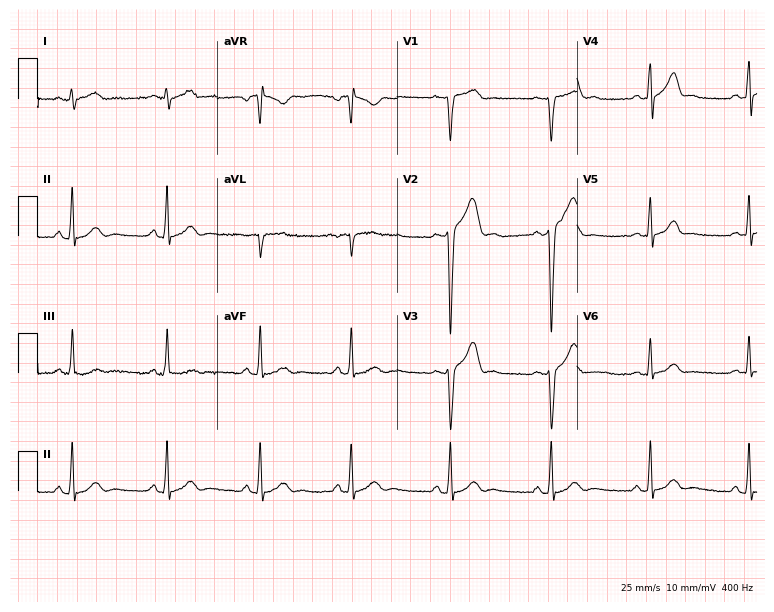
12-lead ECG from a 23-year-old man (7.3-second recording at 400 Hz). No first-degree AV block, right bundle branch block, left bundle branch block, sinus bradycardia, atrial fibrillation or sinus tachycardia recorded for this tracing. Only these six findings were labelled.